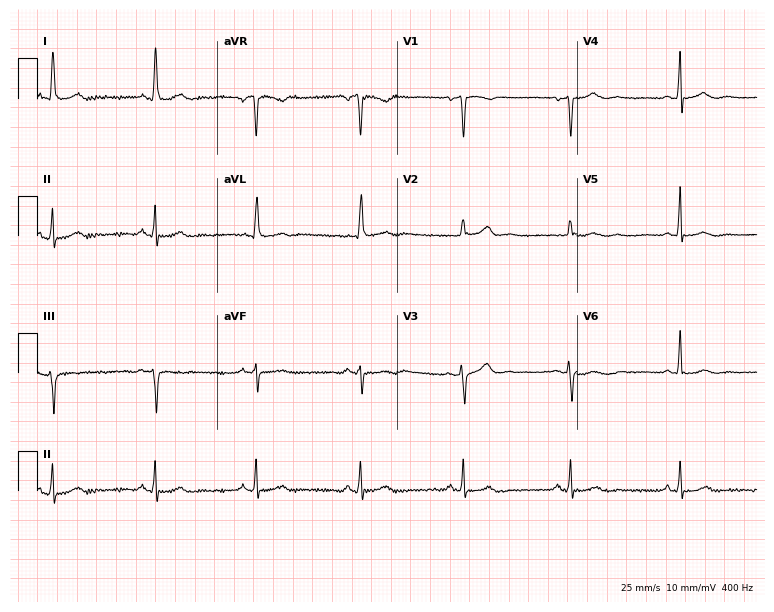
12-lead ECG from a woman, 60 years old (7.3-second recording at 400 Hz). No first-degree AV block, right bundle branch block (RBBB), left bundle branch block (LBBB), sinus bradycardia, atrial fibrillation (AF) or sinus tachycardia recorded for this tracing. Only these six findings were labelled.